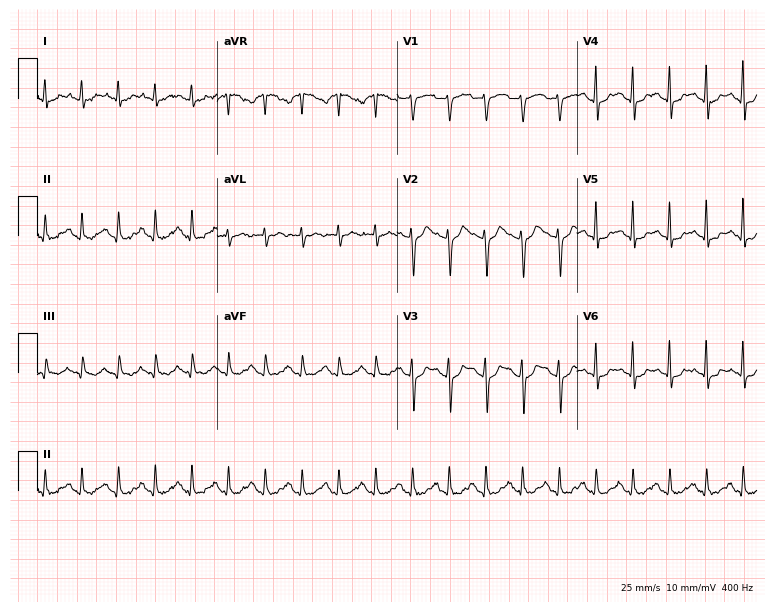
ECG — a 61-year-old woman. Findings include sinus tachycardia (a sinus rate of 100 beats per minute or more).